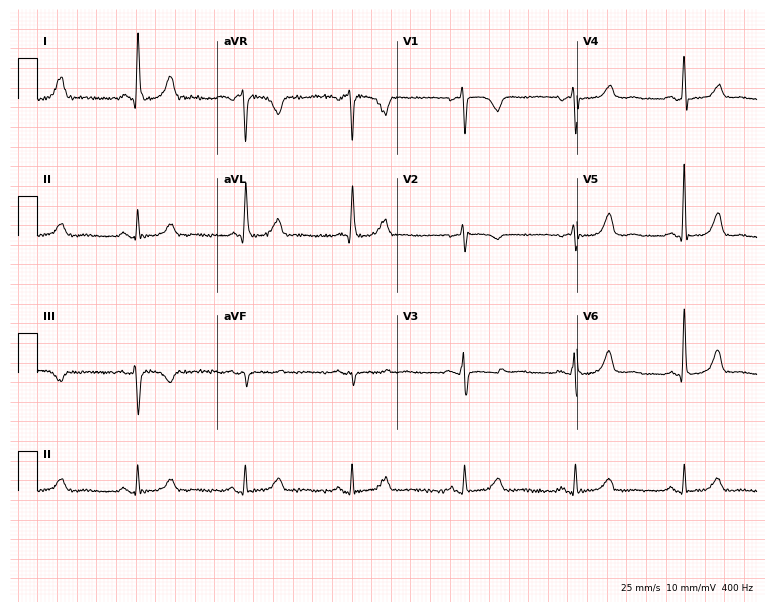
ECG — a female, 64 years old. Screened for six findings — first-degree AV block, right bundle branch block (RBBB), left bundle branch block (LBBB), sinus bradycardia, atrial fibrillation (AF), sinus tachycardia — none is recorded.